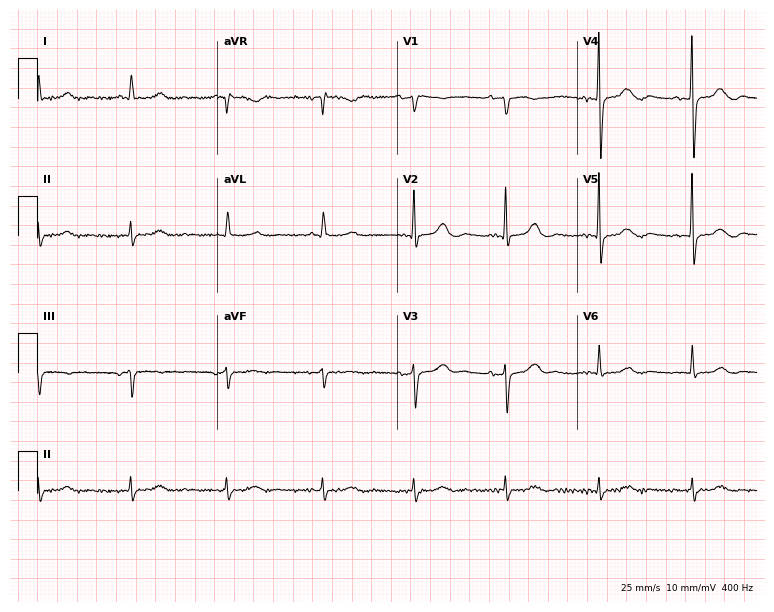
12-lead ECG from a female patient, 76 years old. Recorded interpretation: within normal limits.